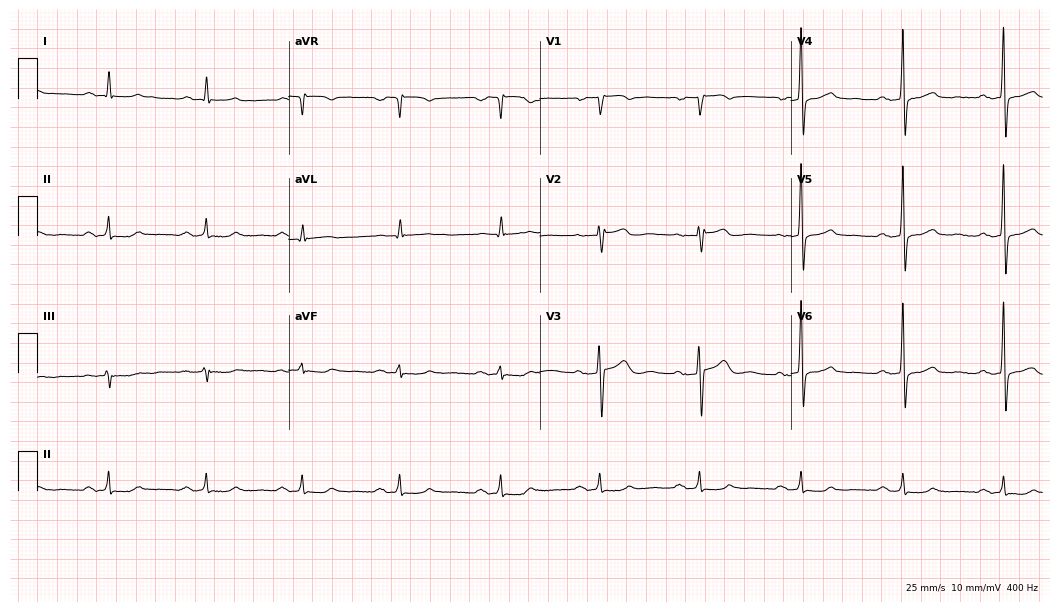
Standard 12-lead ECG recorded from a man, 67 years old (10.2-second recording at 400 Hz). Read as a normal ECG.